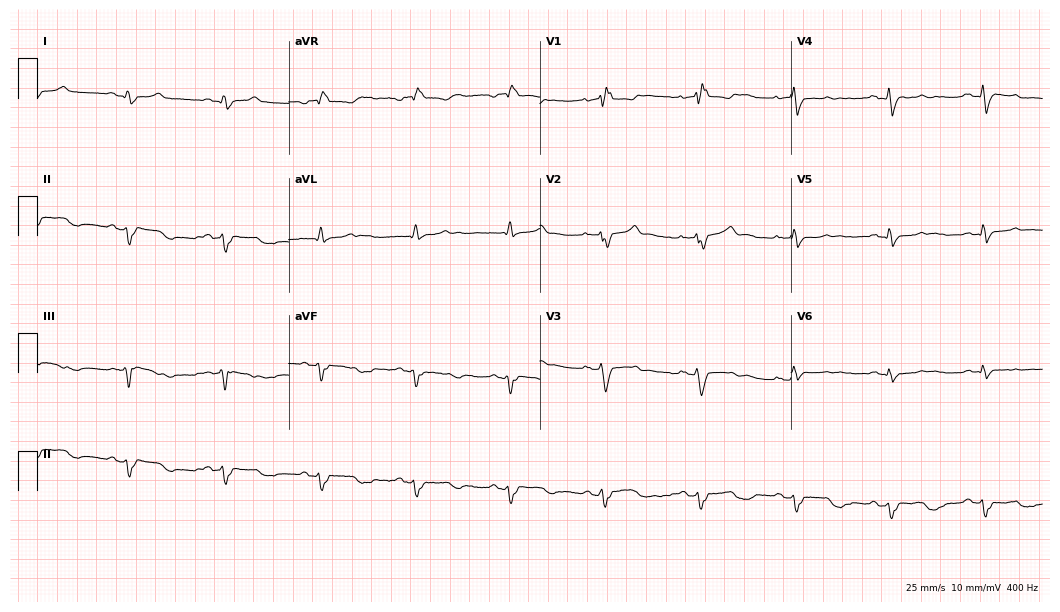
ECG (10.2-second recording at 400 Hz) — a man, 53 years old. Screened for six findings — first-degree AV block, right bundle branch block, left bundle branch block, sinus bradycardia, atrial fibrillation, sinus tachycardia — none is recorded.